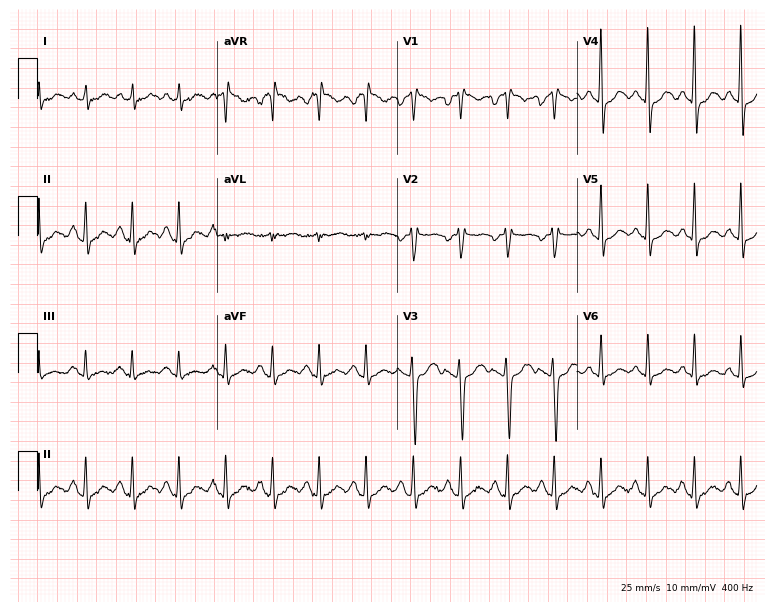
Electrocardiogram, a female patient, 37 years old. Interpretation includes sinus tachycardia (a sinus rate of 100 beats per minute or more).